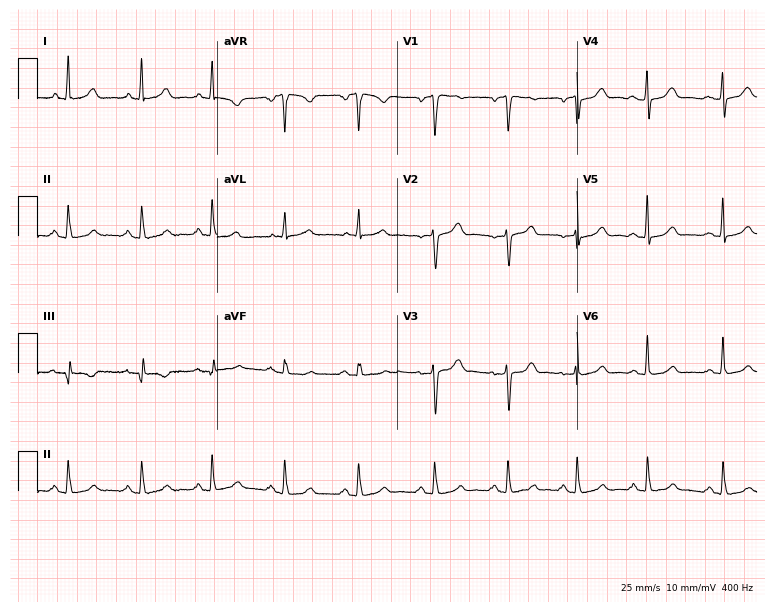
ECG (7.3-second recording at 400 Hz) — a 44-year-old female. Labelled as a normal ECG.